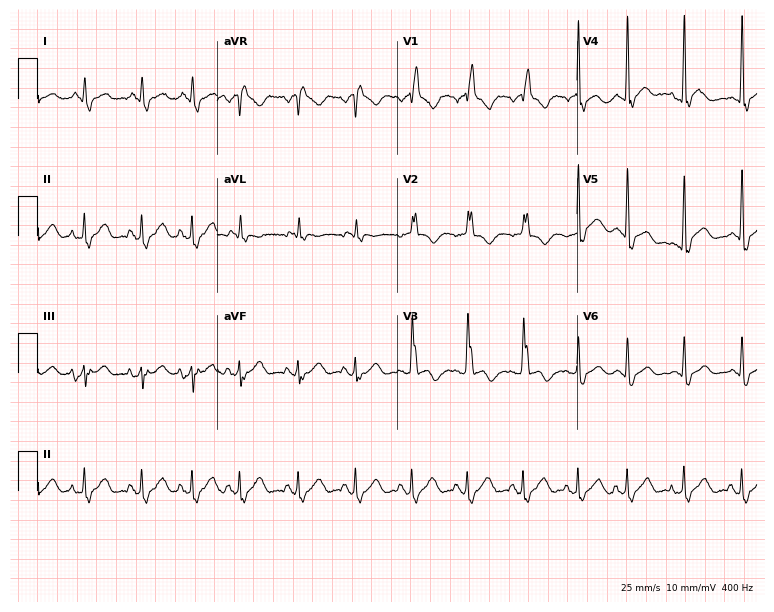
12-lead ECG from a 76-year-old man (7.3-second recording at 400 Hz). Shows right bundle branch block (RBBB), sinus tachycardia (a sinus rate of 100 beats per minute or more).